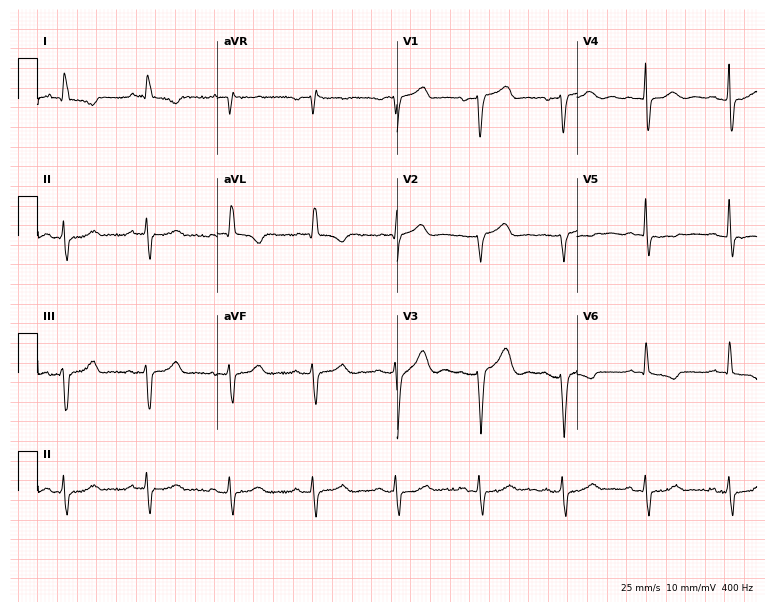
12-lead ECG (7.3-second recording at 400 Hz) from a male patient, 69 years old. Screened for six findings — first-degree AV block, right bundle branch block (RBBB), left bundle branch block (LBBB), sinus bradycardia, atrial fibrillation (AF), sinus tachycardia — none is recorded.